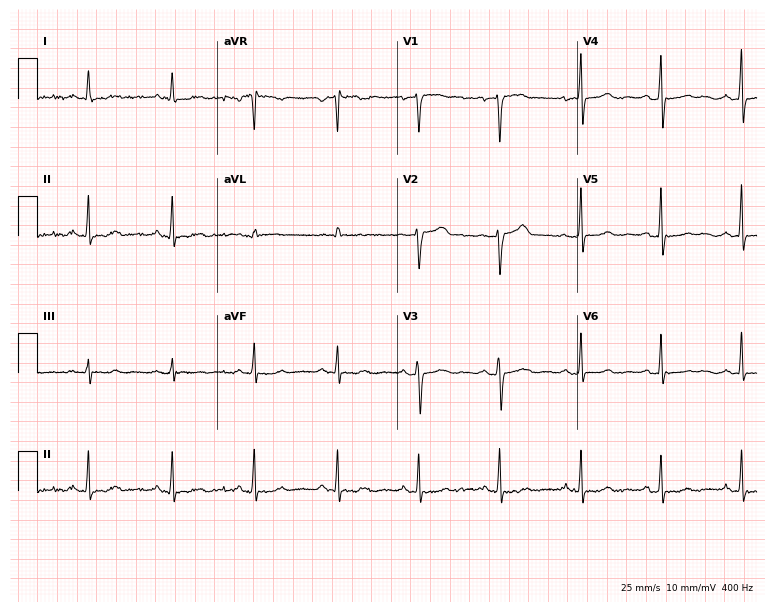
12-lead ECG from a 48-year-old female. No first-degree AV block, right bundle branch block, left bundle branch block, sinus bradycardia, atrial fibrillation or sinus tachycardia recorded for this tracing. Other findings, if any, are not listed.